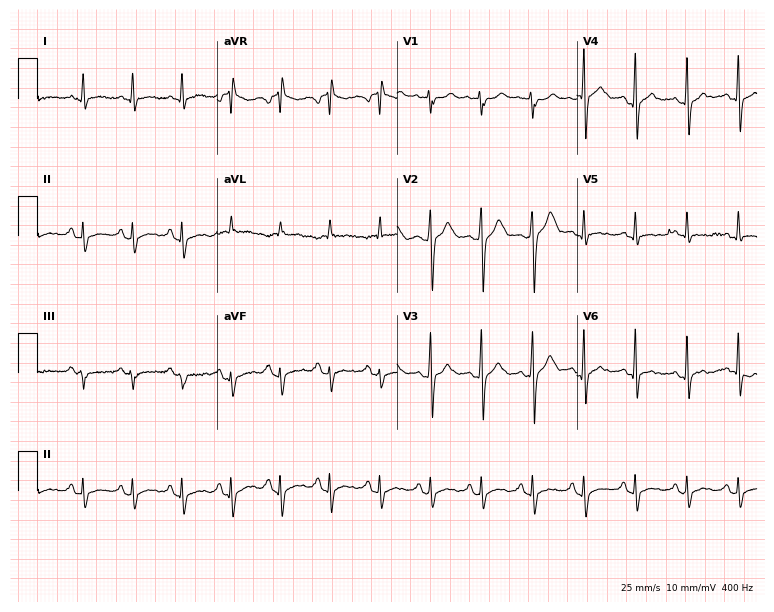
12-lead ECG from a male, 42 years old. Shows sinus tachycardia (a sinus rate of 100 beats per minute or more).